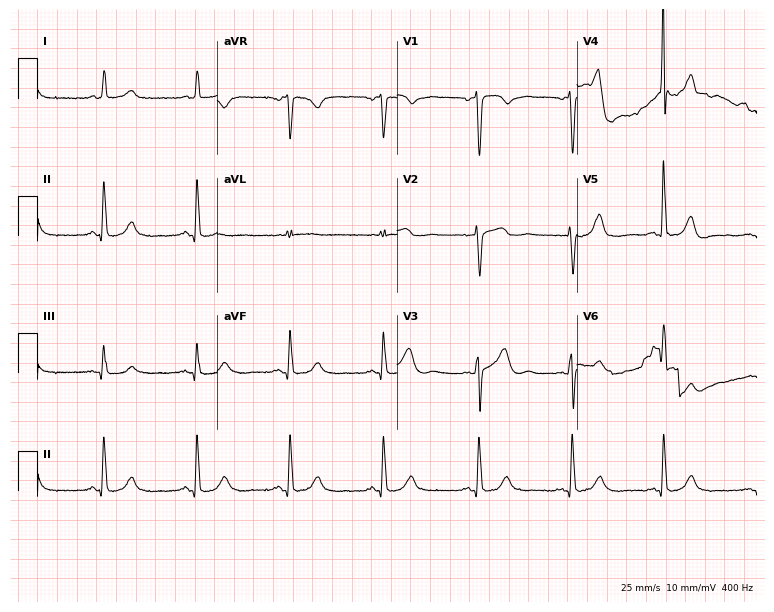
12-lead ECG from a 79-year-old woman. Recorded interpretation: within normal limits.